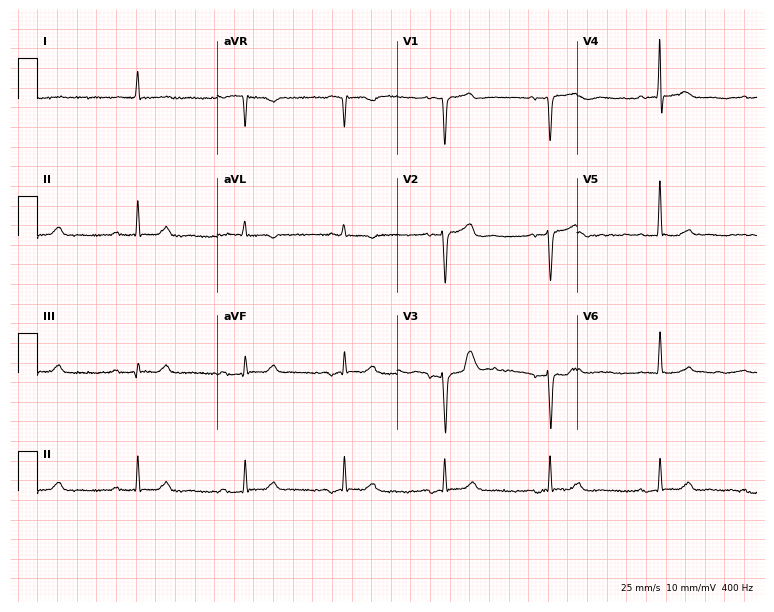
Resting 12-lead electrocardiogram (7.3-second recording at 400 Hz). Patient: a male, 82 years old. None of these six findings is recorded: first-degree AV block, right bundle branch block, left bundle branch block, sinus bradycardia, atrial fibrillation, sinus tachycardia. Findings outside these six are not listed.